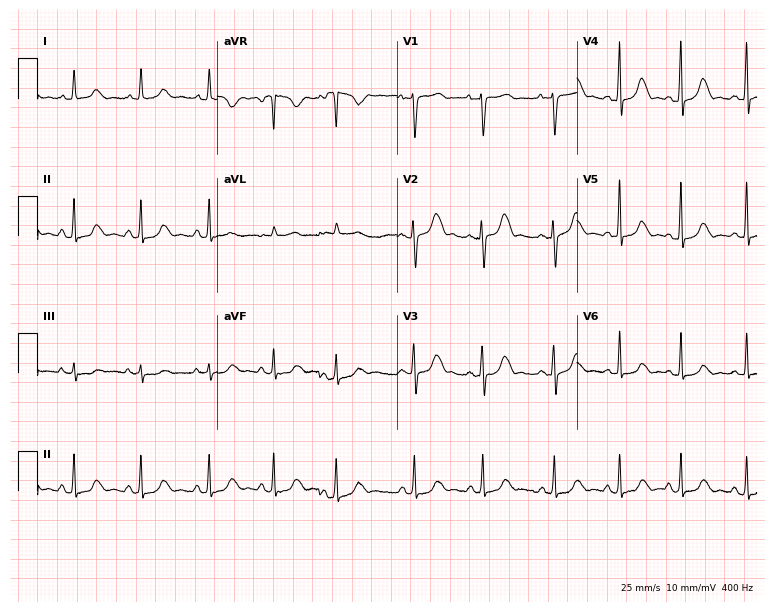
12-lead ECG from a female patient, 26 years old (7.3-second recording at 400 Hz). Recorded interpretation: within normal limits.